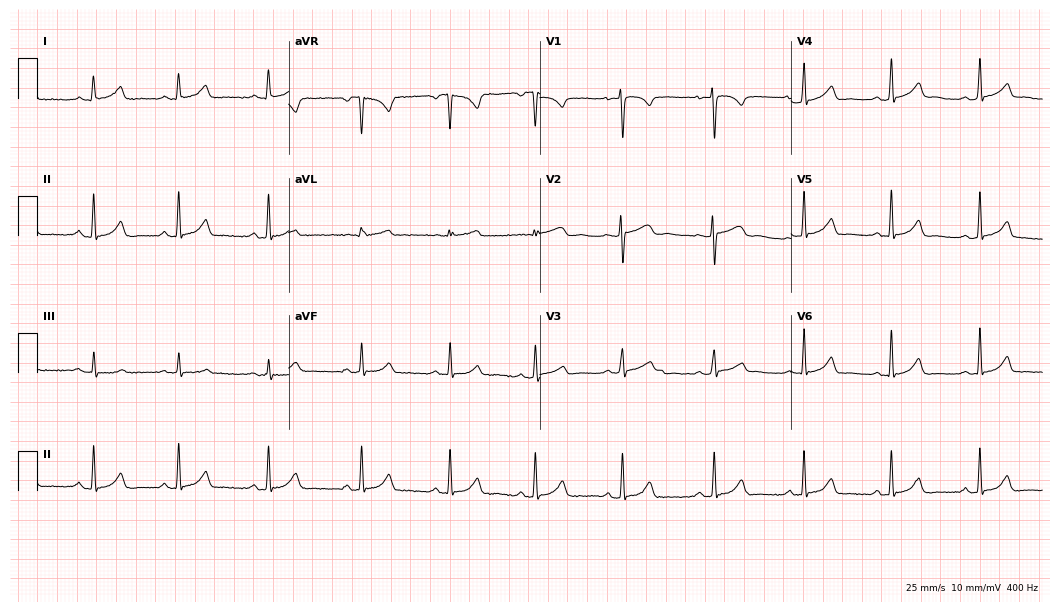
Electrocardiogram (10.2-second recording at 400 Hz), a 26-year-old woman. Overall reading on record: normal ECG.